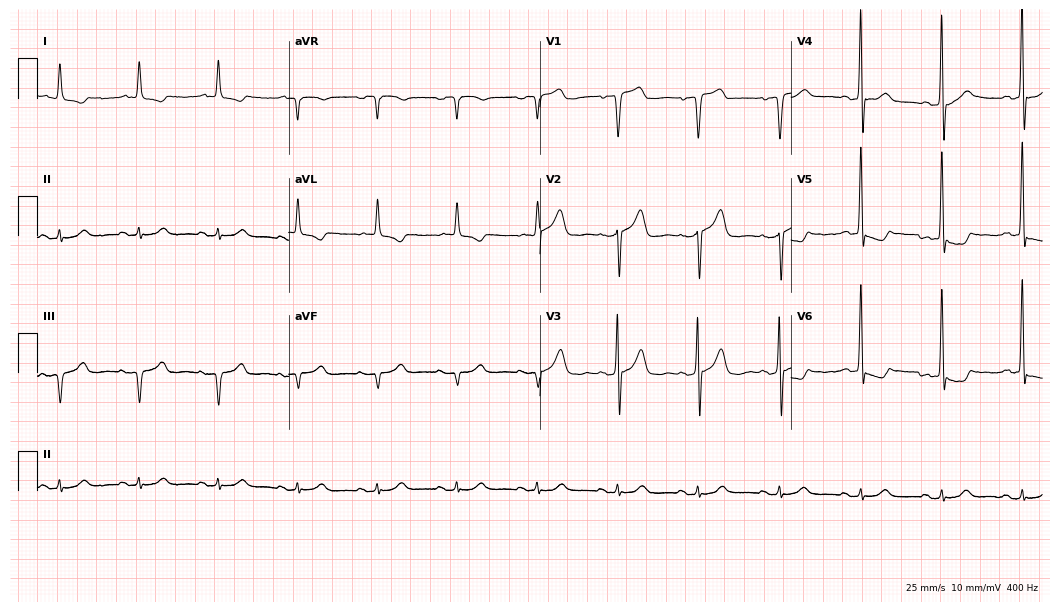
Resting 12-lead electrocardiogram (10.2-second recording at 400 Hz). Patient: a man, 79 years old. None of these six findings is recorded: first-degree AV block, right bundle branch block, left bundle branch block, sinus bradycardia, atrial fibrillation, sinus tachycardia.